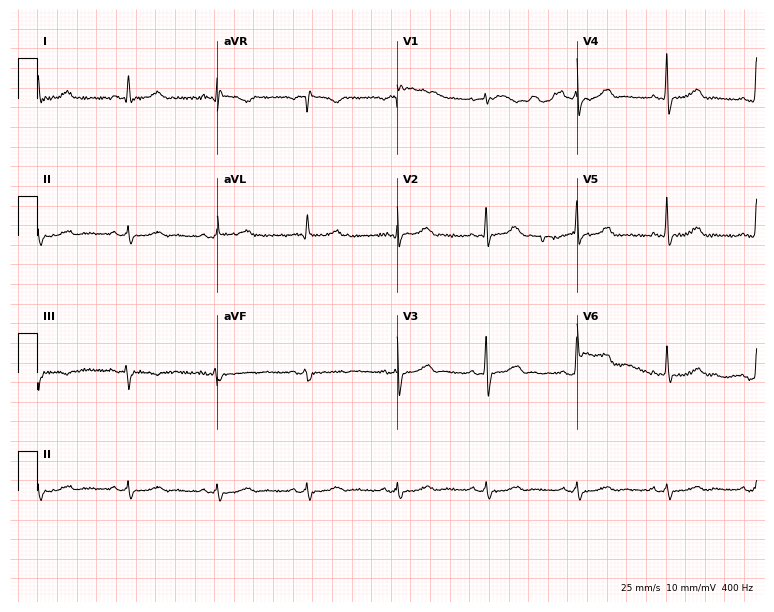
Standard 12-lead ECG recorded from a 58-year-old female (7.3-second recording at 400 Hz). Read as a normal ECG.